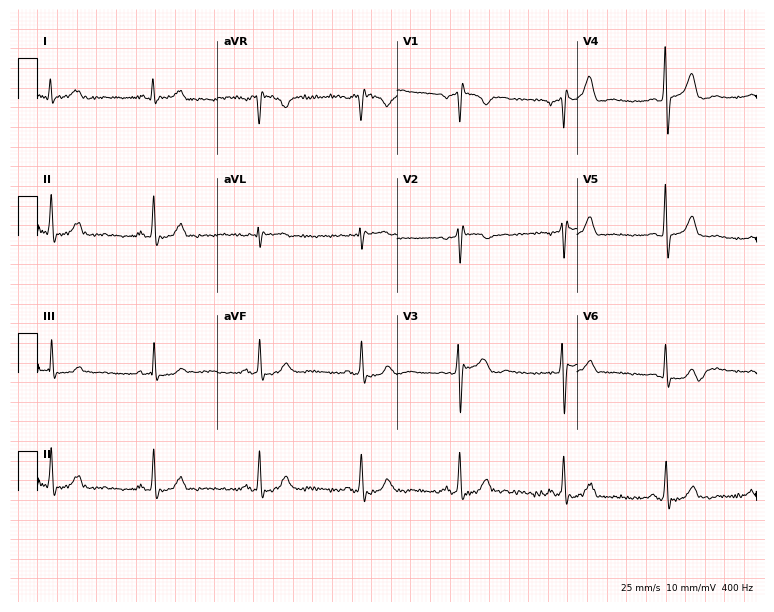
Electrocardiogram, a 48-year-old female. Of the six screened findings (first-degree AV block, right bundle branch block, left bundle branch block, sinus bradycardia, atrial fibrillation, sinus tachycardia), none is recorded.